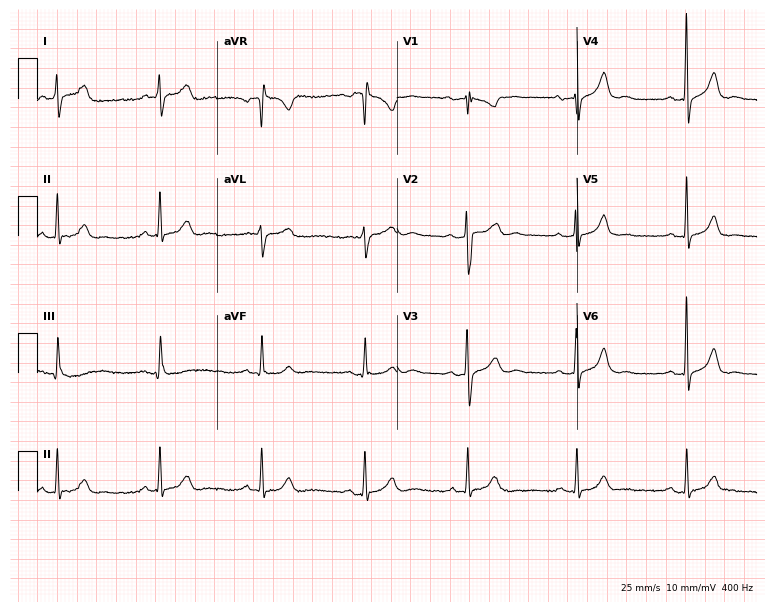
12-lead ECG (7.3-second recording at 400 Hz) from a 41-year-old man. Labelled as a normal ECG.